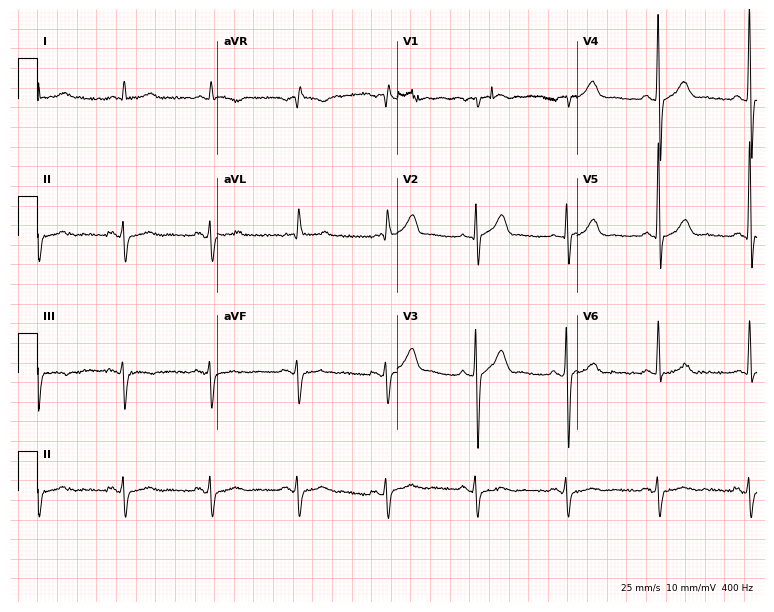
12-lead ECG from a male, 85 years old. Screened for six findings — first-degree AV block, right bundle branch block, left bundle branch block, sinus bradycardia, atrial fibrillation, sinus tachycardia — none is recorded. Only these six findings were labelled.